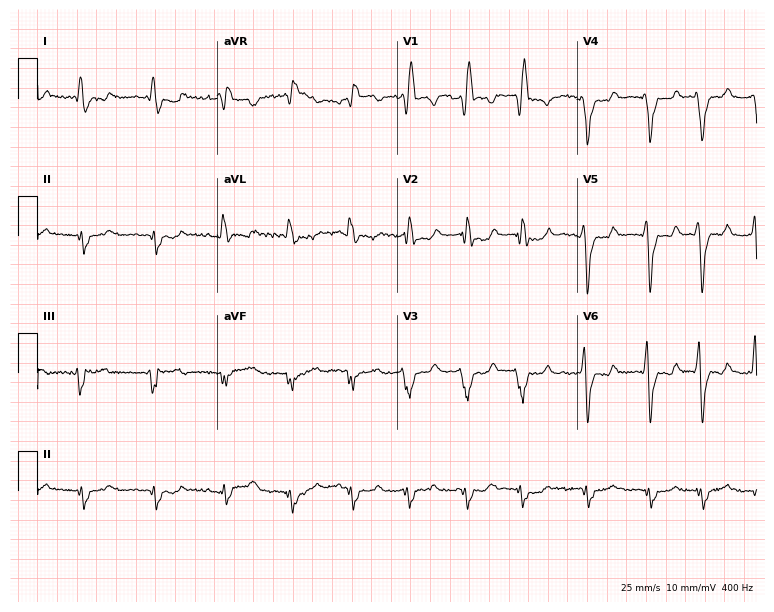
12-lead ECG from a 76-year-old male. Findings include right bundle branch block, atrial fibrillation.